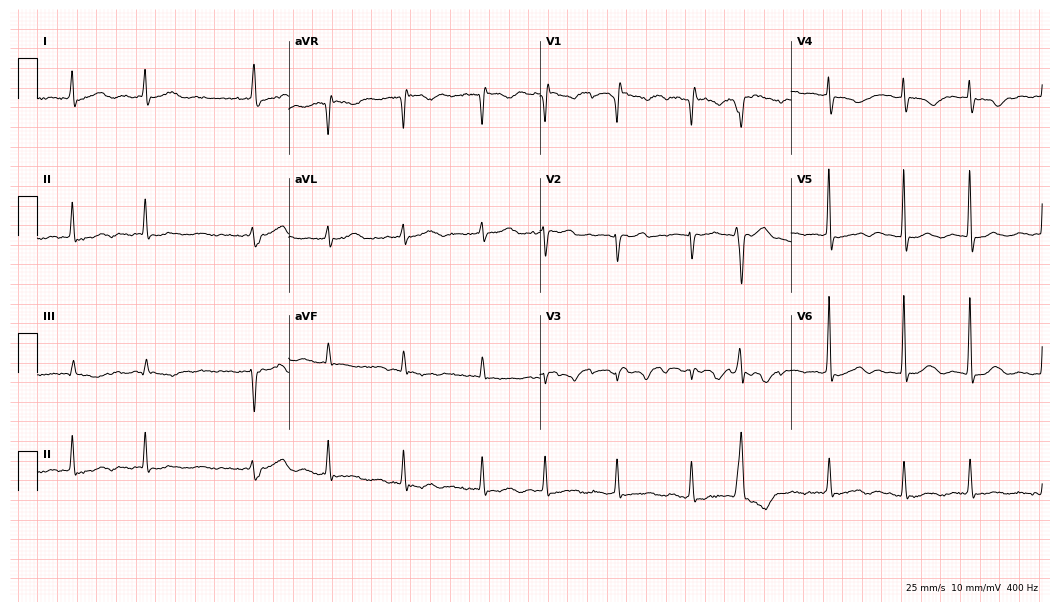
12-lead ECG (10.2-second recording at 400 Hz) from a 79-year-old female patient. Findings include atrial fibrillation.